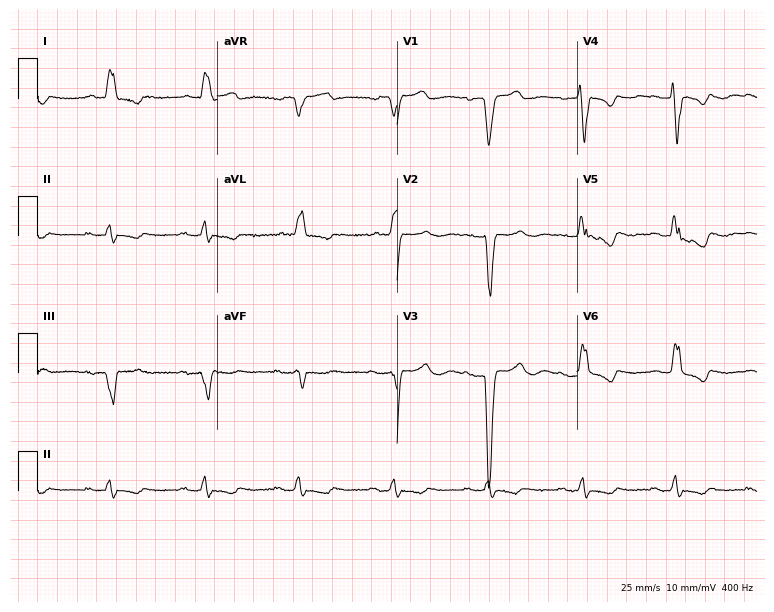
Resting 12-lead electrocardiogram (7.3-second recording at 400 Hz). Patient: a female, 81 years old. The tracing shows first-degree AV block, left bundle branch block.